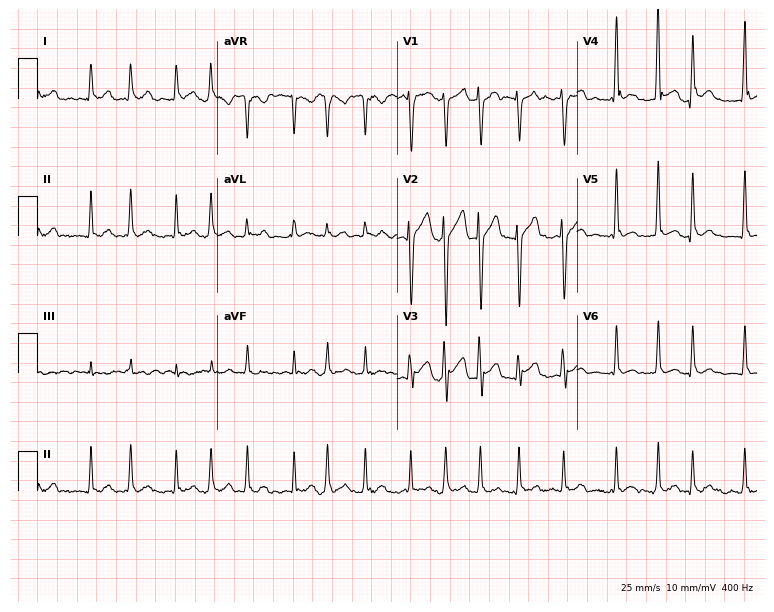
ECG — a 31-year-old male patient. Findings include atrial fibrillation.